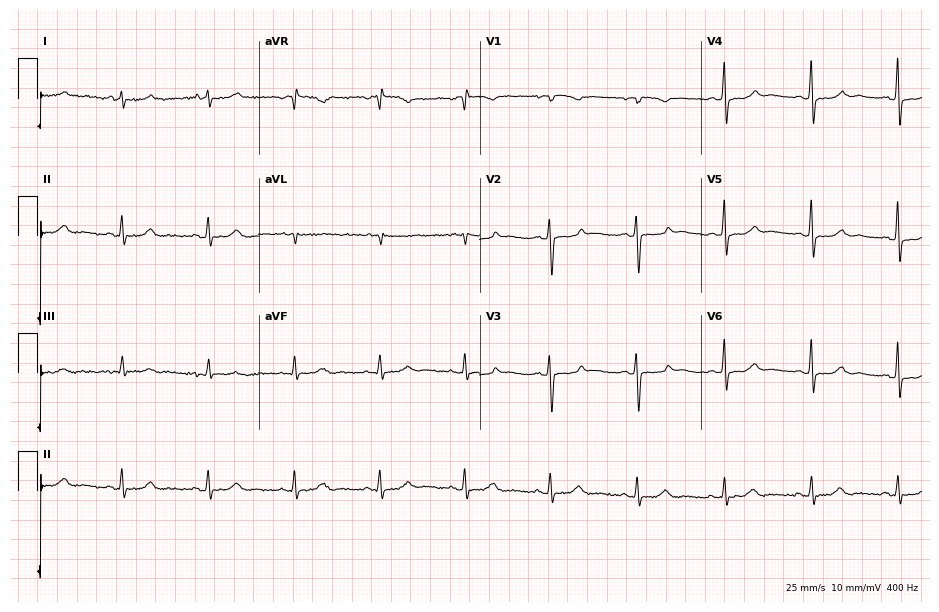
Electrocardiogram, a female patient, 53 years old. Overall reading on record: normal ECG.